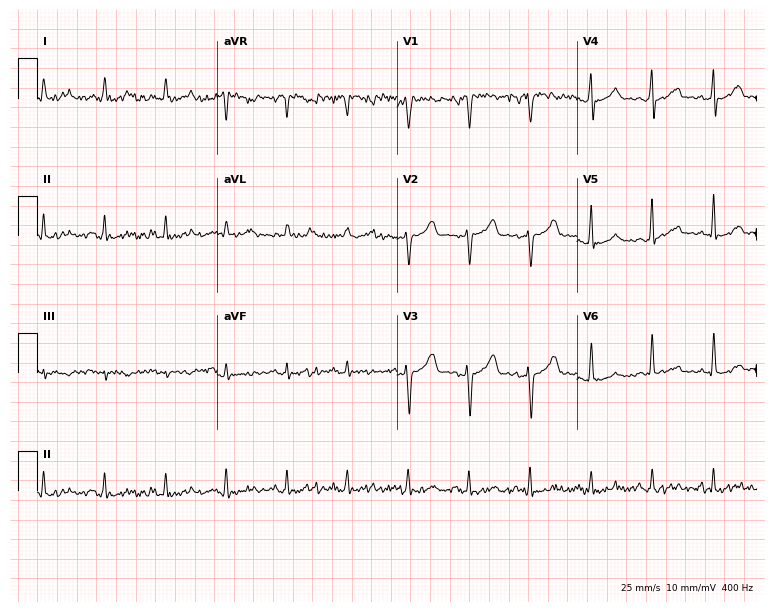
Resting 12-lead electrocardiogram (7.3-second recording at 400 Hz). Patient: a 45-year-old male. None of these six findings is recorded: first-degree AV block, right bundle branch block, left bundle branch block, sinus bradycardia, atrial fibrillation, sinus tachycardia.